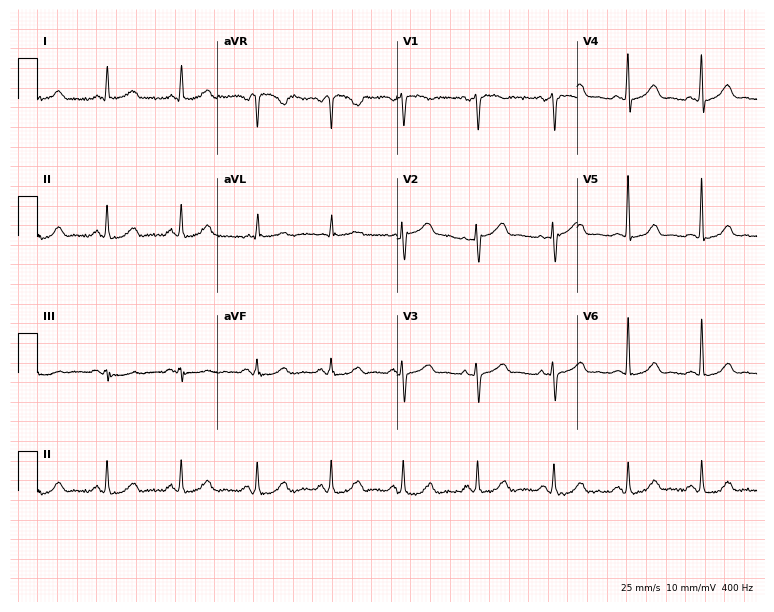
Electrocardiogram (7.3-second recording at 400 Hz), a 62-year-old woman. Overall reading on record: normal ECG.